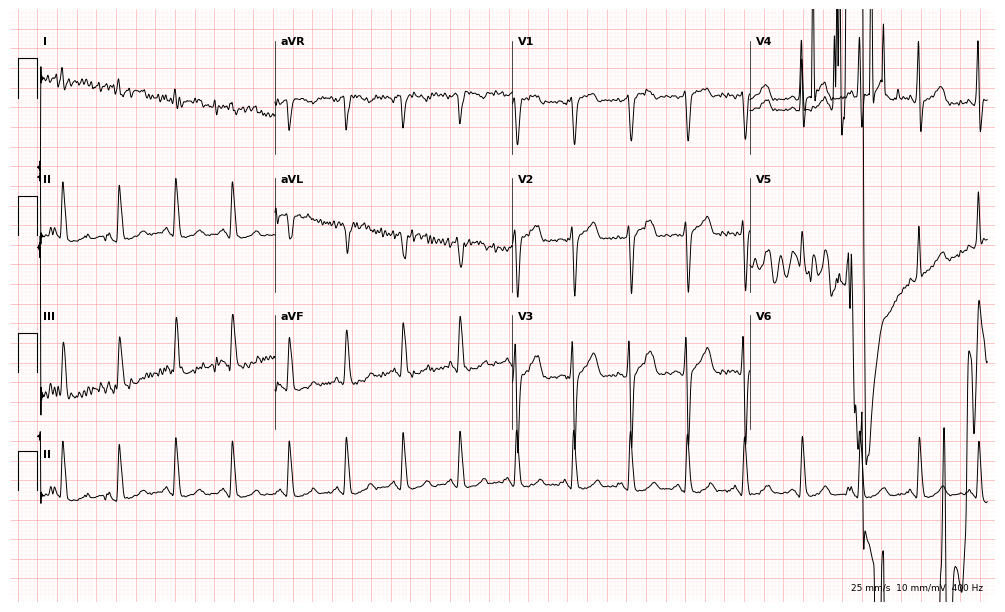
Electrocardiogram, a man, 52 years old. Of the six screened findings (first-degree AV block, right bundle branch block (RBBB), left bundle branch block (LBBB), sinus bradycardia, atrial fibrillation (AF), sinus tachycardia), none is recorded. Findings outside these six are not listed.